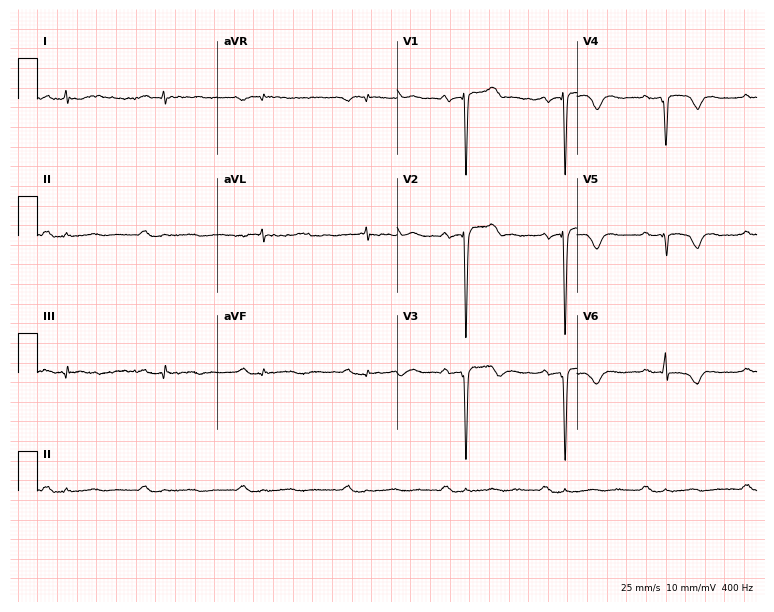
ECG (7.3-second recording at 400 Hz) — a male patient, 63 years old. Screened for six findings — first-degree AV block, right bundle branch block, left bundle branch block, sinus bradycardia, atrial fibrillation, sinus tachycardia — none is recorded. Only these six findings were labelled.